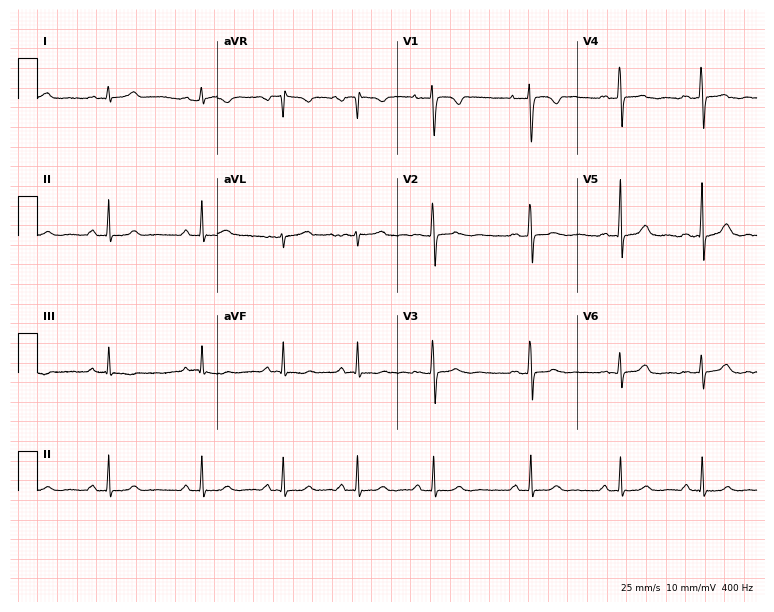
ECG (7.3-second recording at 400 Hz) — a 24-year-old woman. Screened for six findings — first-degree AV block, right bundle branch block (RBBB), left bundle branch block (LBBB), sinus bradycardia, atrial fibrillation (AF), sinus tachycardia — none is recorded.